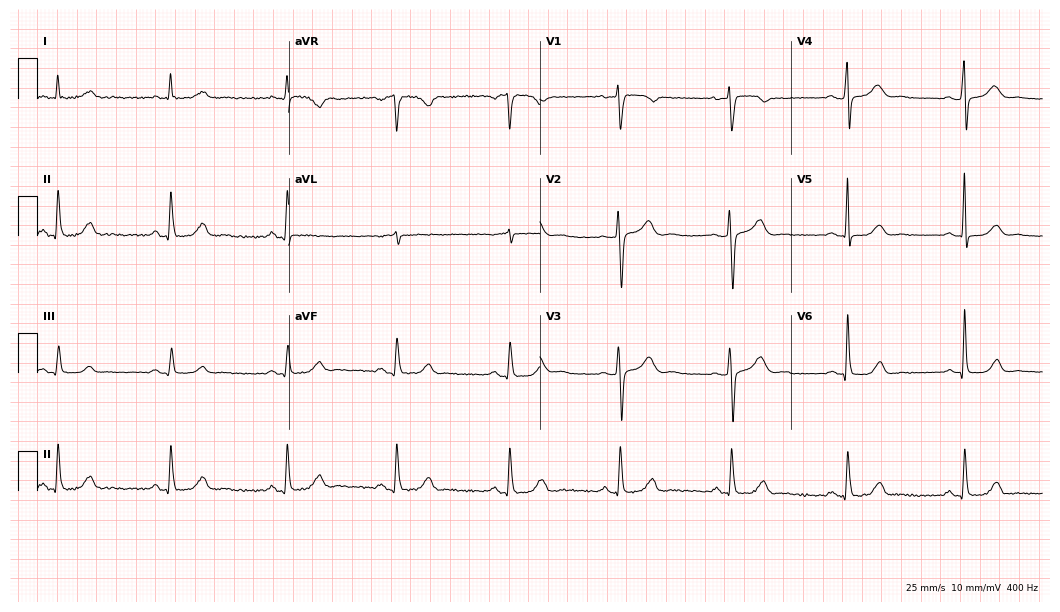
12-lead ECG (10.2-second recording at 400 Hz) from a female patient, 50 years old. Screened for six findings — first-degree AV block, right bundle branch block, left bundle branch block, sinus bradycardia, atrial fibrillation, sinus tachycardia — none is recorded. Other findings, if any, are not listed.